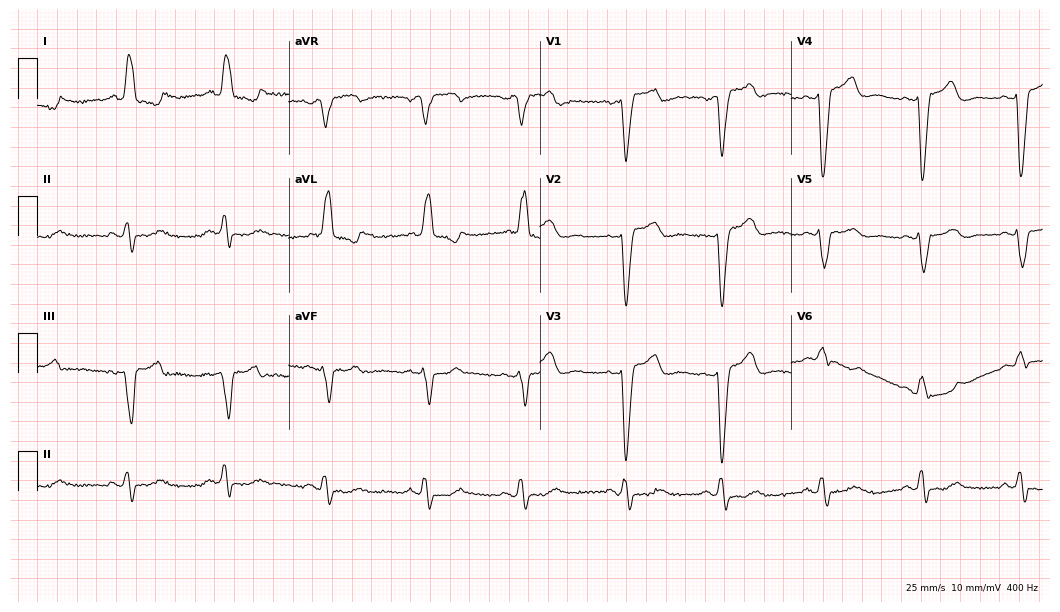
12-lead ECG (10.2-second recording at 400 Hz) from a 73-year-old female patient. Findings include left bundle branch block.